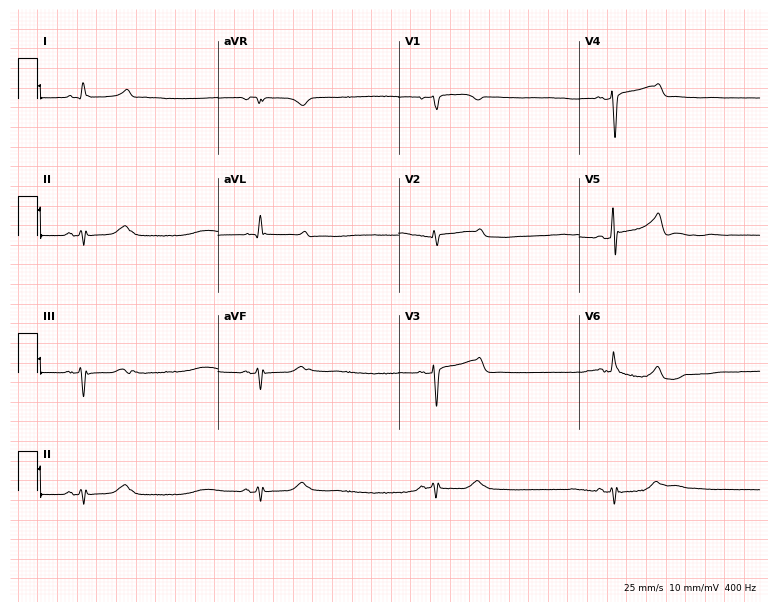
12-lead ECG from a female, 85 years old (7.4-second recording at 400 Hz). Shows sinus bradycardia (a sinus rate of 50 beats per minute or less).